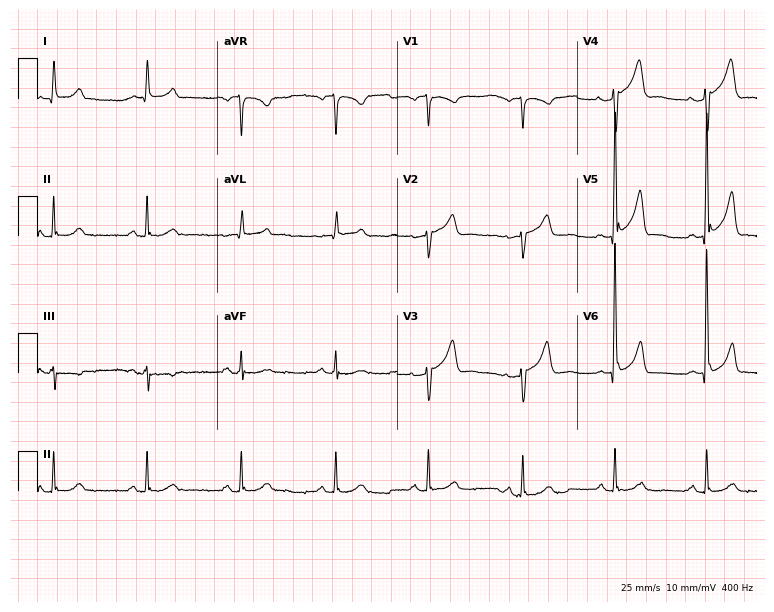
Standard 12-lead ECG recorded from a 75-year-old man. None of these six findings is recorded: first-degree AV block, right bundle branch block, left bundle branch block, sinus bradycardia, atrial fibrillation, sinus tachycardia. Only these six findings were labelled.